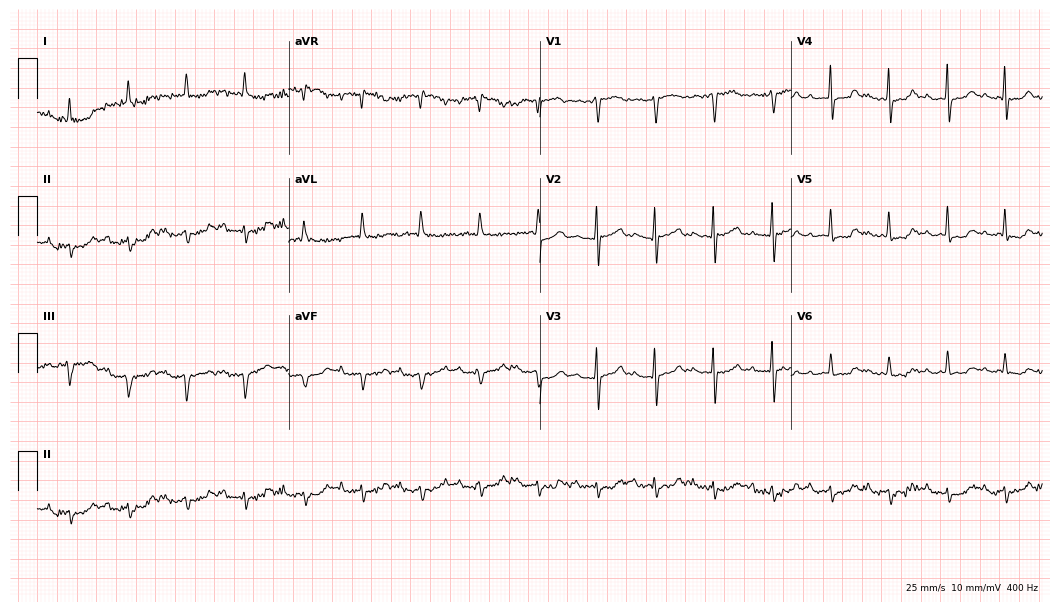
12-lead ECG from a 65-year-old man (10.2-second recording at 400 Hz). No first-degree AV block, right bundle branch block (RBBB), left bundle branch block (LBBB), sinus bradycardia, atrial fibrillation (AF) or sinus tachycardia recorded for this tracing. Findings outside these six are not listed.